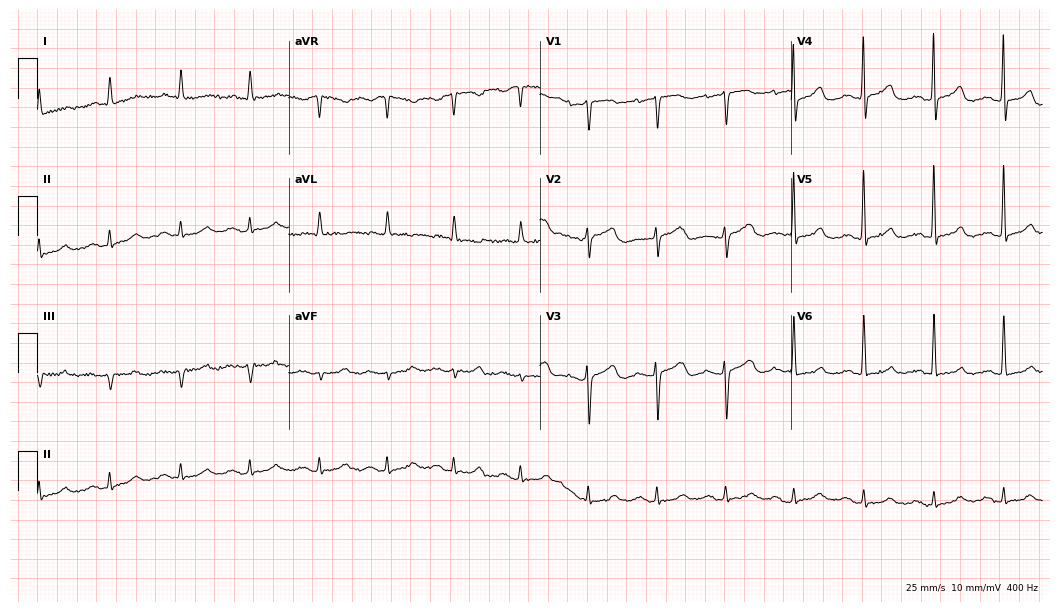
12-lead ECG from a female, 71 years old. No first-degree AV block, right bundle branch block, left bundle branch block, sinus bradycardia, atrial fibrillation or sinus tachycardia recorded for this tracing. Findings outside these six are not listed.